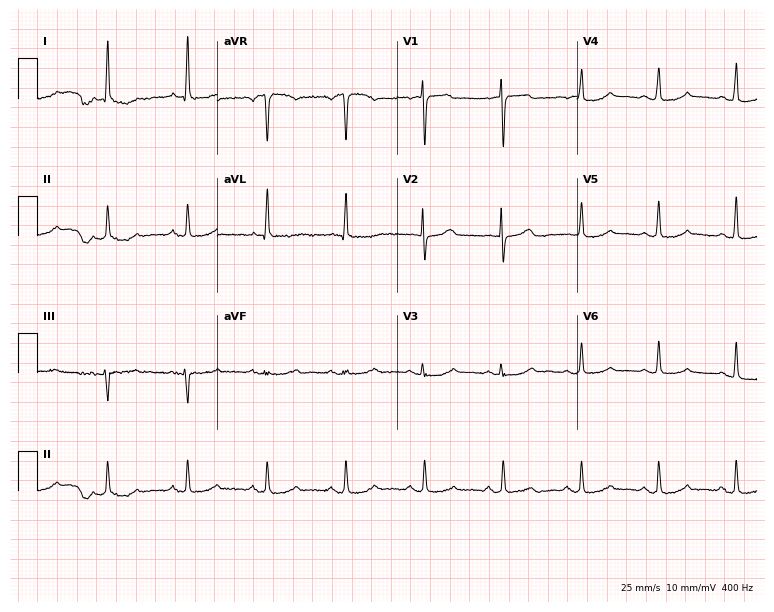
ECG — a woman, 65 years old. Screened for six findings — first-degree AV block, right bundle branch block, left bundle branch block, sinus bradycardia, atrial fibrillation, sinus tachycardia — none is recorded.